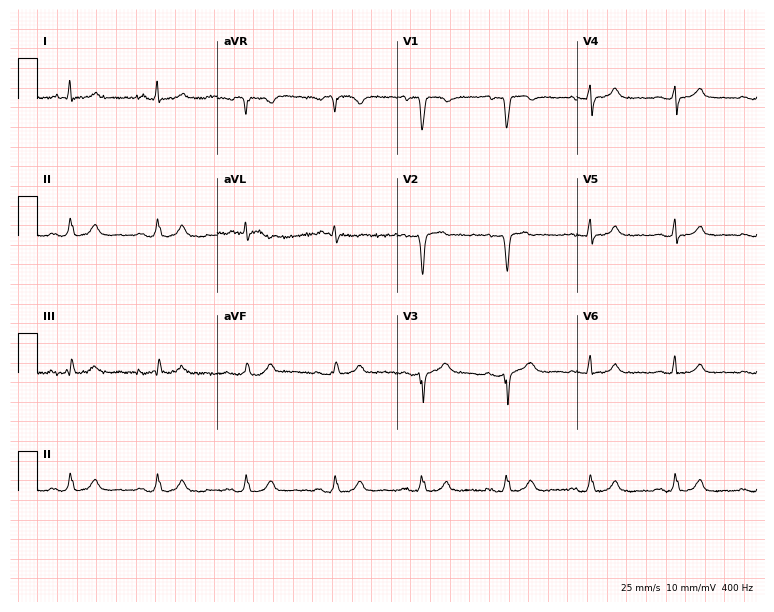
Standard 12-lead ECG recorded from a man, 60 years old. None of these six findings is recorded: first-degree AV block, right bundle branch block, left bundle branch block, sinus bradycardia, atrial fibrillation, sinus tachycardia. Only these six findings were labelled.